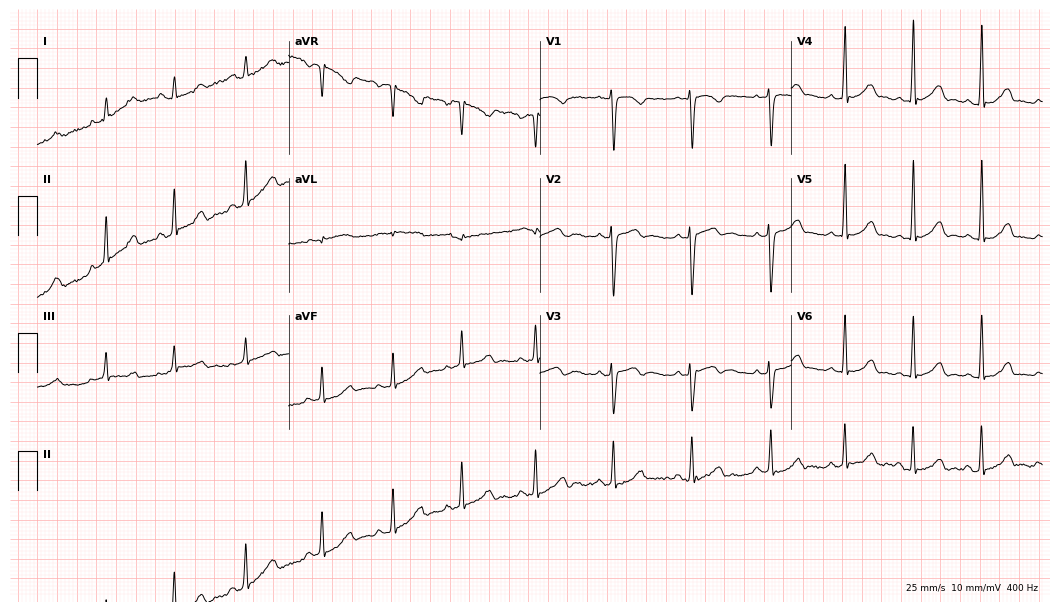
12-lead ECG from a woman, 21 years old (10.2-second recording at 400 Hz). Recorded interpretation: within normal limits.